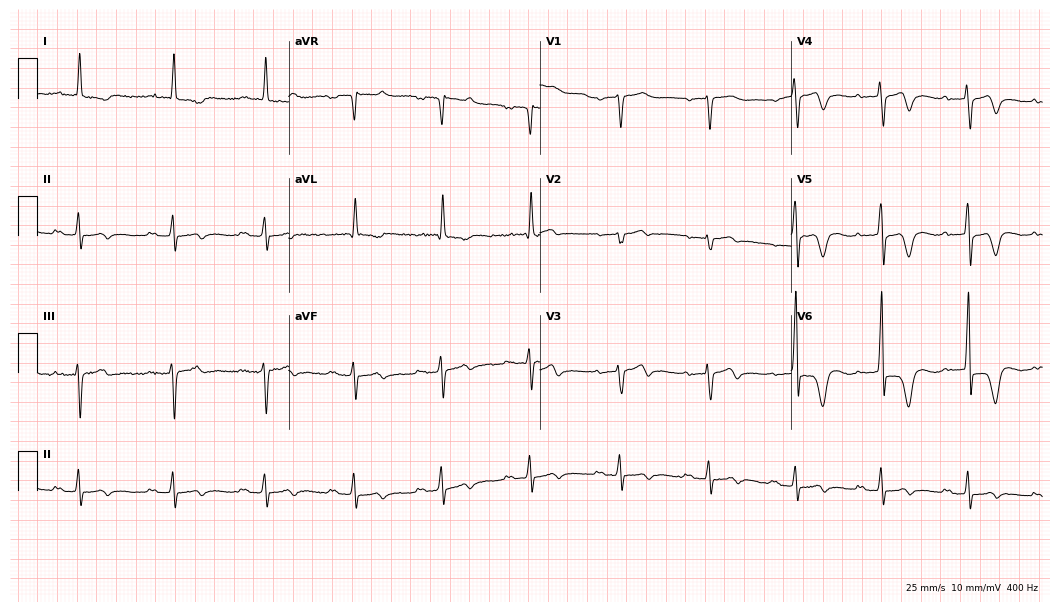
ECG (10.2-second recording at 400 Hz) — a 79-year-old male patient. Screened for six findings — first-degree AV block, right bundle branch block (RBBB), left bundle branch block (LBBB), sinus bradycardia, atrial fibrillation (AF), sinus tachycardia — none is recorded. Findings outside these six are not listed.